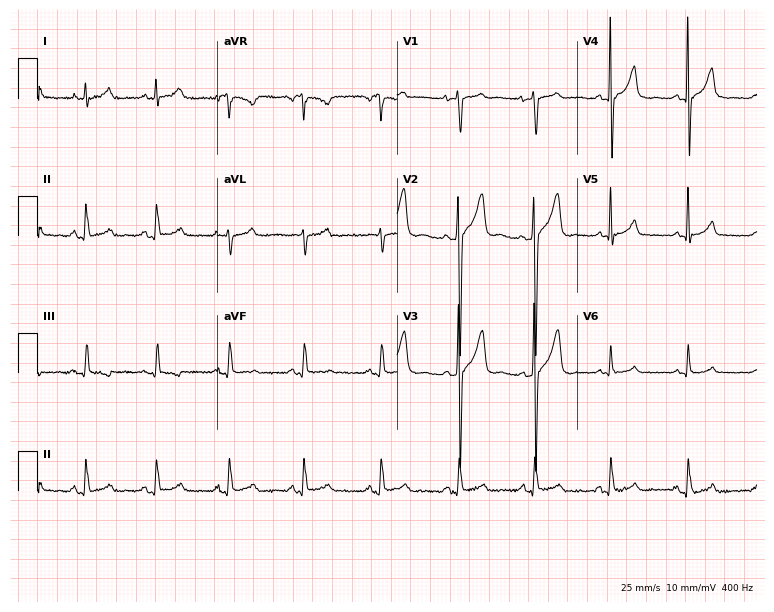
12-lead ECG from a male patient, 27 years old (7.3-second recording at 400 Hz). Recorded interpretation: within normal limits.